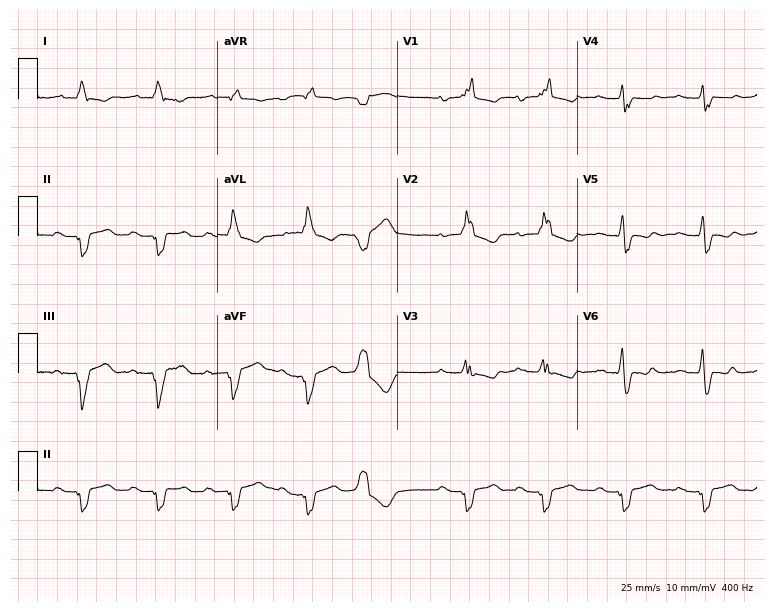
ECG (7.3-second recording at 400 Hz) — a woman, 49 years old. Findings include first-degree AV block, right bundle branch block.